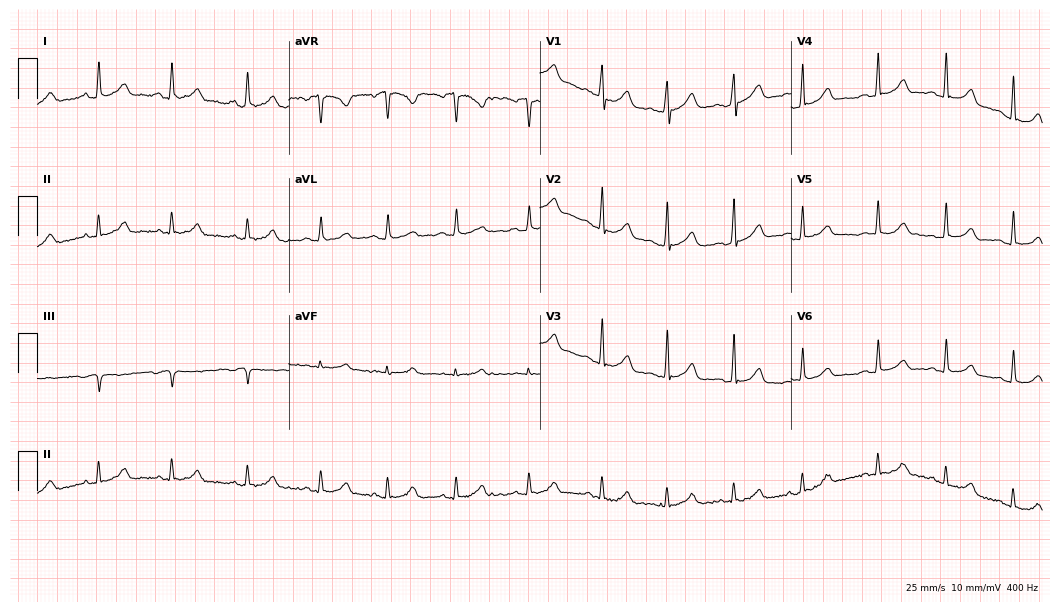
Electrocardiogram (10.2-second recording at 400 Hz), a female, 18 years old. Overall reading on record: normal ECG.